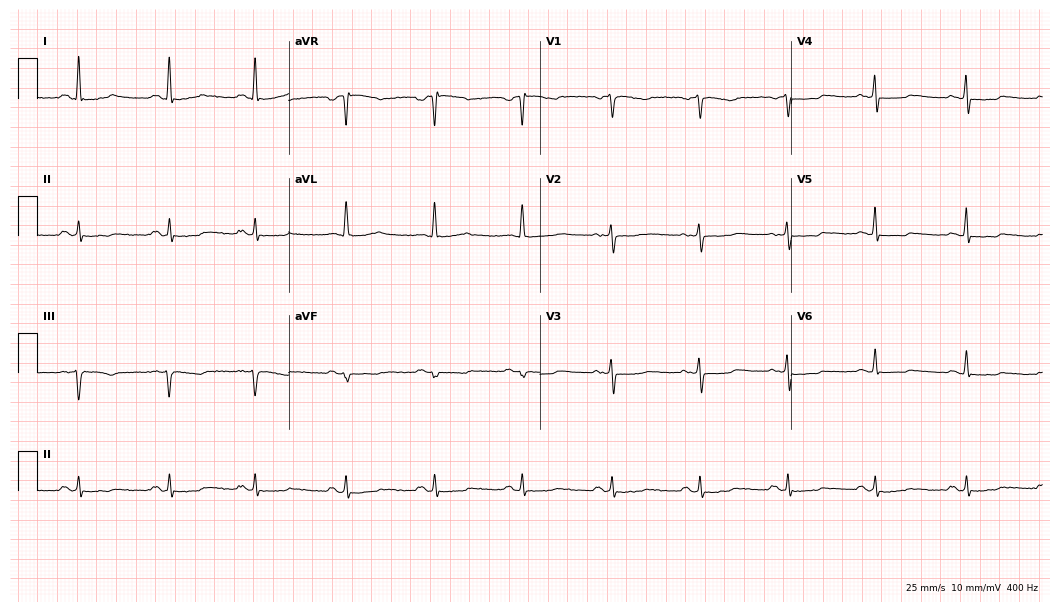
12-lead ECG (10.2-second recording at 400 Hz) from a woman, 62 years old. Screened for six findings — first-degree AV block, right bundle branch block, left bundle branch block, sinus bradycardia, atrial fibrillation, sinus tachycardia — none is recorded.